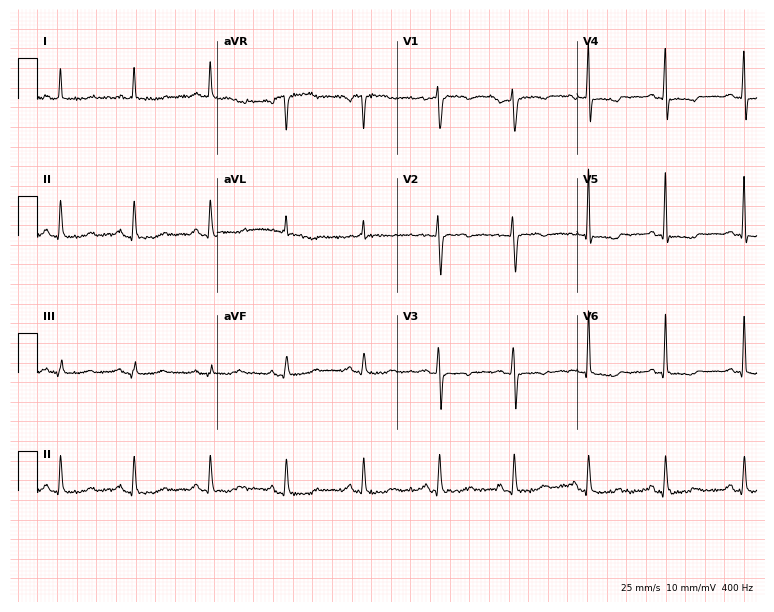
12-lead ECG (7.3-second recording at 400 Hz) from a female patient, 56 years old. Screened for six findings — first-degree AV block, right bundle branch block, left bundle branch block, sinus bradycardia, atrial fibrillation, sinus tachycardia — none is recorded.